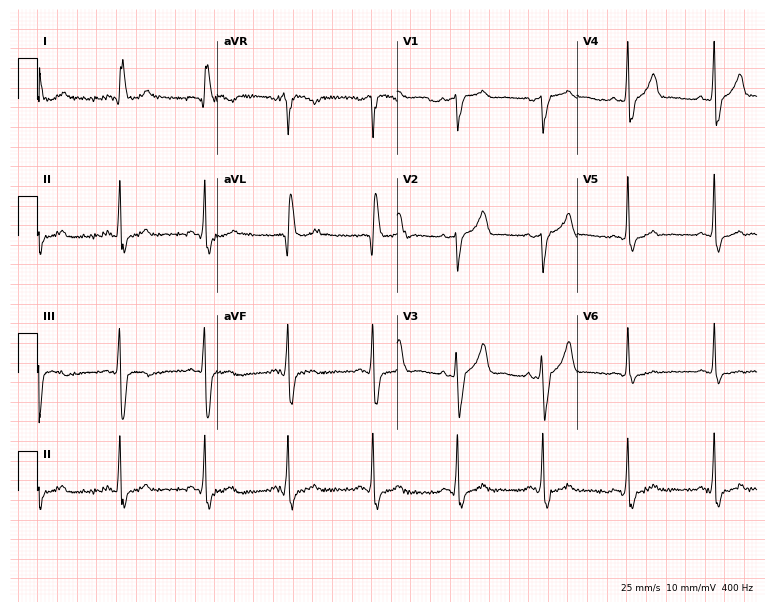
ECG (7.3-second recording at 400 Hz) — a 59-year-old woman. Screened for six findings — first-degree AV block, right bundle branch block (RBBB), left bundle branch block (LBBB), sinus bradycardia, atrial fibrillation (AF), sinus tachycardia — none is recorded.